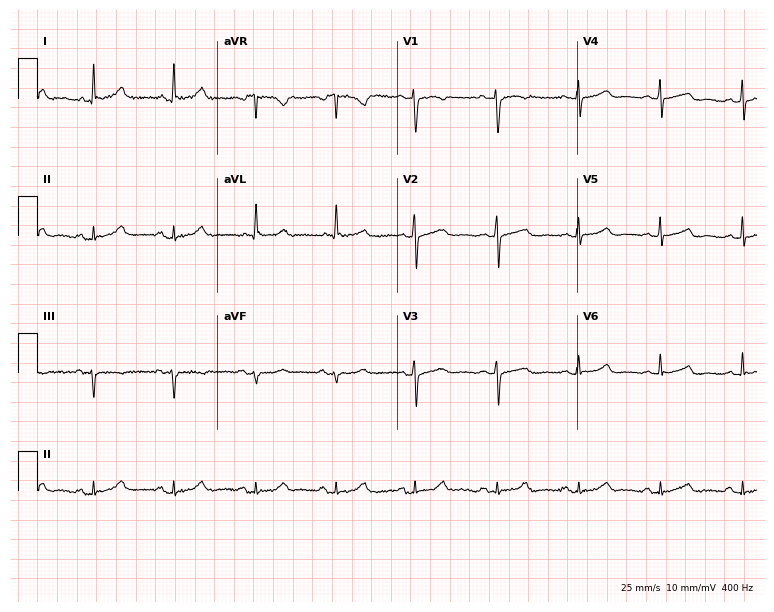
Standard 12-lead ECG recorded from a female, 63 years old. None of these six findings is recorded: first-degree AV block, right bundle branch block, left bundle branch block, sinus bradycardia, atrial fibrillation, sinus tachycardia. Findings outside these six are not listed.